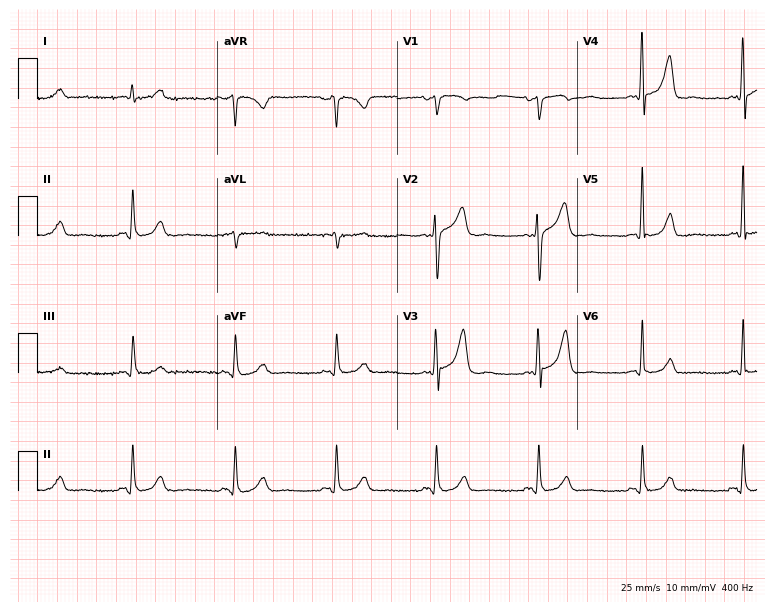
Electrocardiogram (7.3-second recording at 400 Hz), a male, 64 years old. Of the six screened findings (first-degree AV block, right bundle branch block, left bundle branch block, sinus bradycardia, atrial fibrillation, sinus tachycardia), none is recorded.